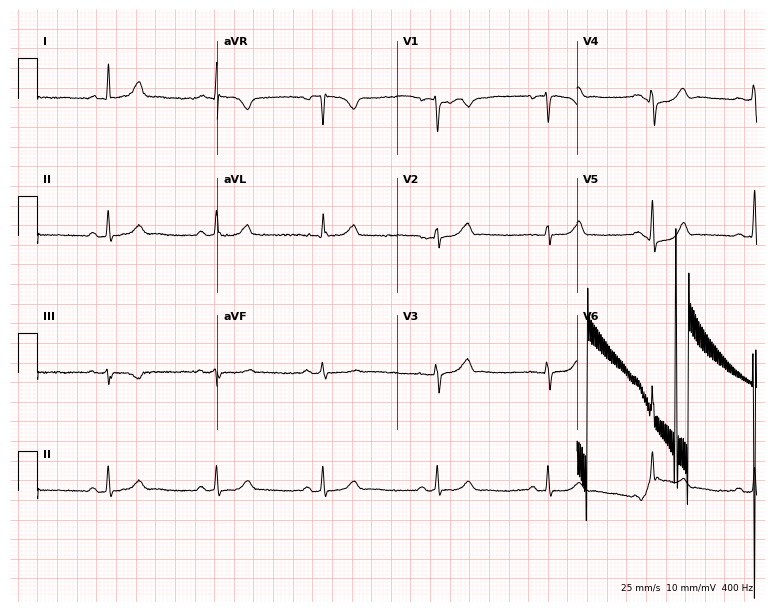
12-lead ECG from a female, 27 years old (7.3-second recording at 400 Hz). Recorded interpretation: within normal limits.